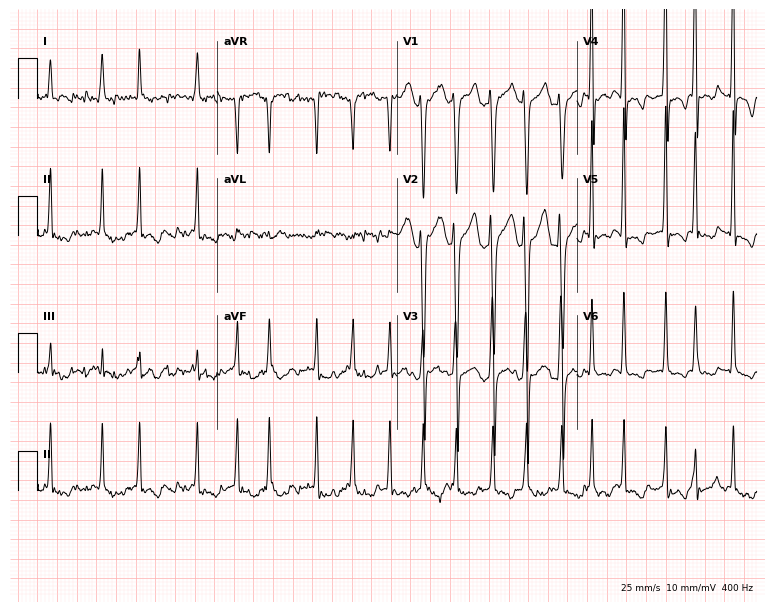
ECG — a male, 32 years old. Findings include atrial fibrillation (AF).